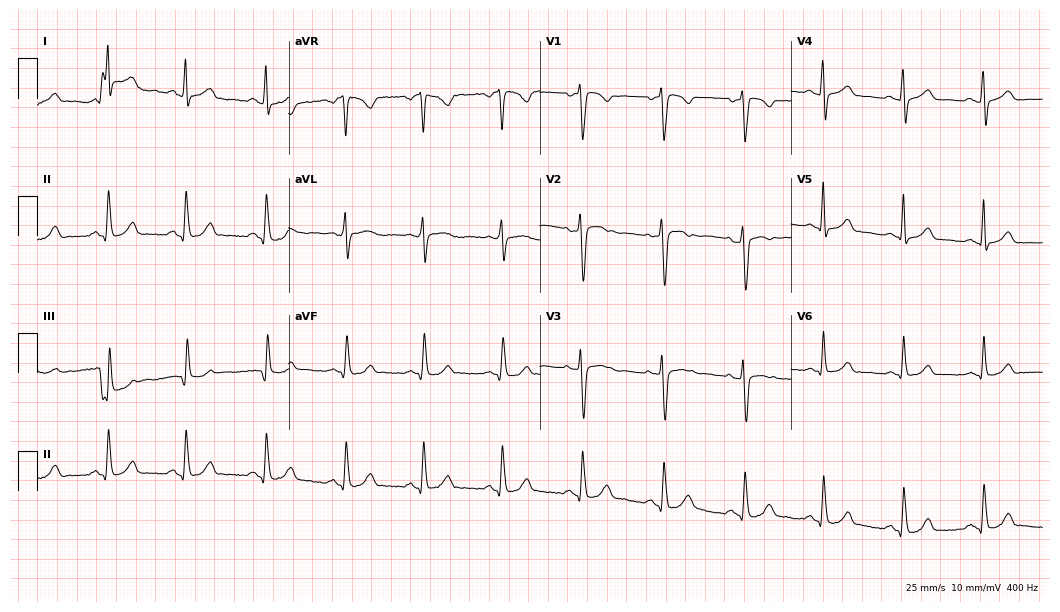
ECG (10.2-second recording at 400 Hz) — a 31-year-old female. Screened for six findings — first-degree AV block, right bundle branch block, left bundle branch block, sinus bradycardia, atrial fibrillation, sinus tachycardia — none is recorded.